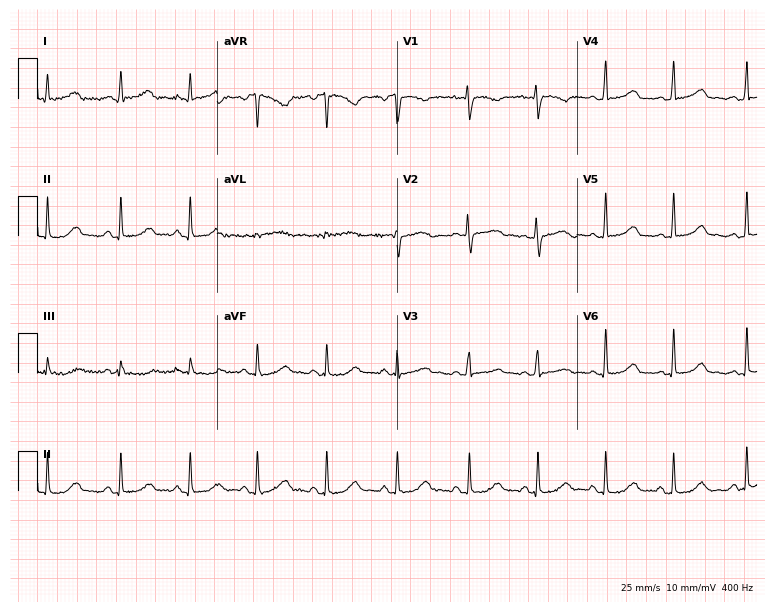
Electrocardiogram, a woman, 25 years old. Overall reading on record: normal ECG.